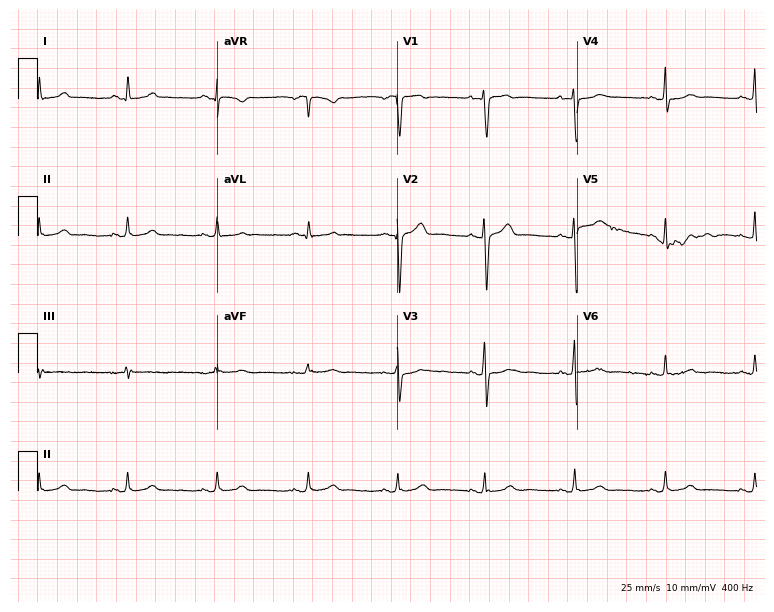
Standard 12-lead ECG recorded from a female patient, 33 years old (7.3-second recording at 400 Hz). None of these six findings is recorded: first-degree AV block, right bundle branch block (RBBB), left bundle branch block (LBBB), sinus bradycardia, atrial fibrillation (AF), sinus tachycardia. Other findings, if any, are not listed.